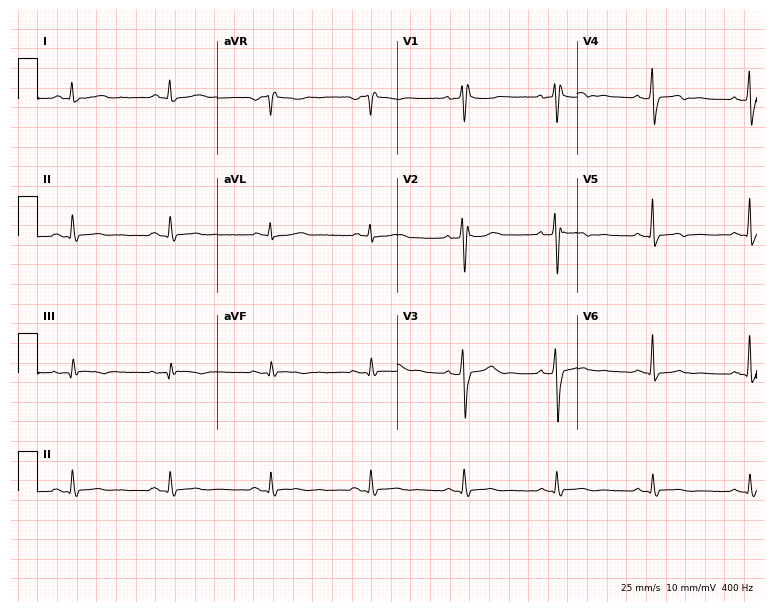
12-lead ECG from a male patient, 34 years old. Findings include right bundle branch block.